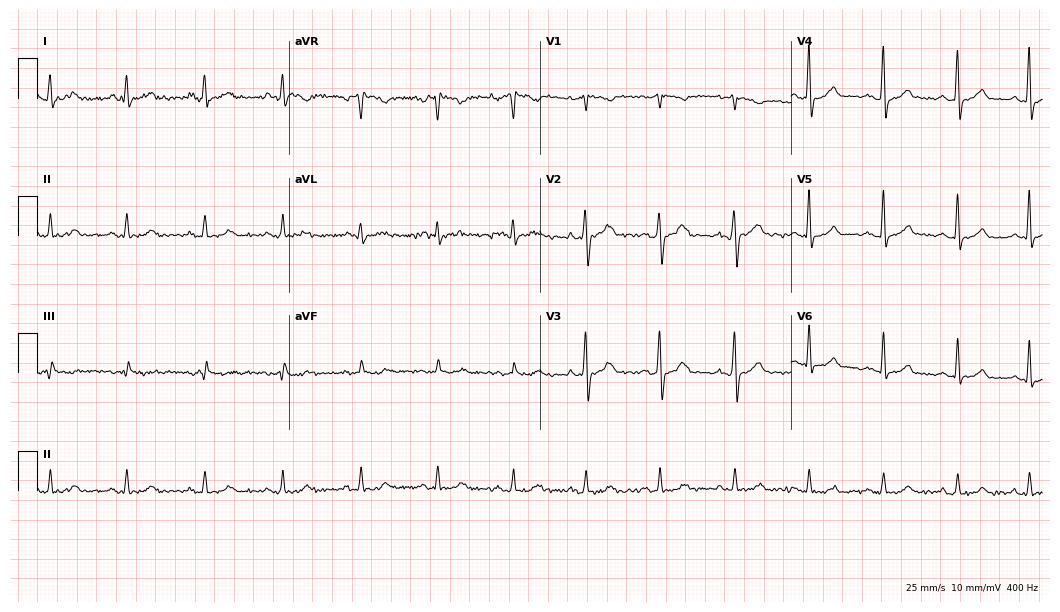
Electrocardiogram, a 42-year-old man. Overall reading on record: normal ECG.